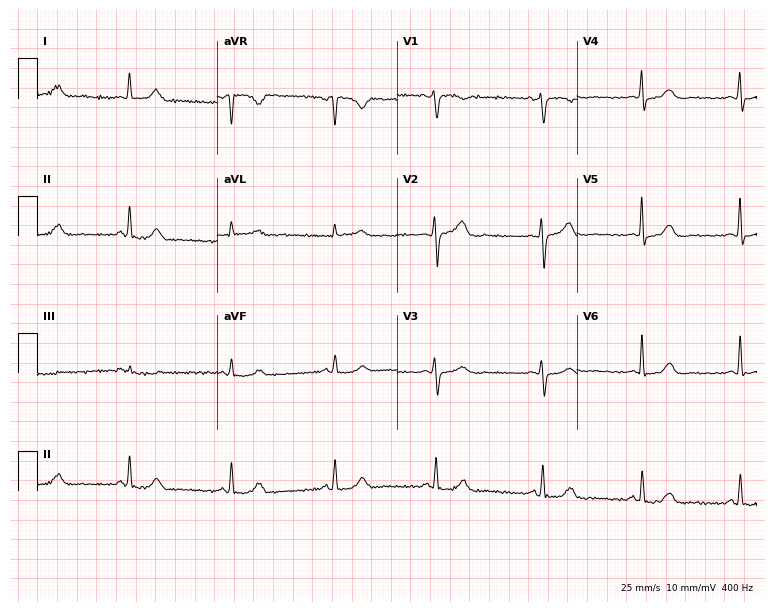
12-lead ECG from a 55-year-old female patient. Screened for six findings — first-degree AV block, right bundle branch block, left bundle branch block, sinus bradycardia, atrial fibrillation, sinus tachycardia — none is recorded.